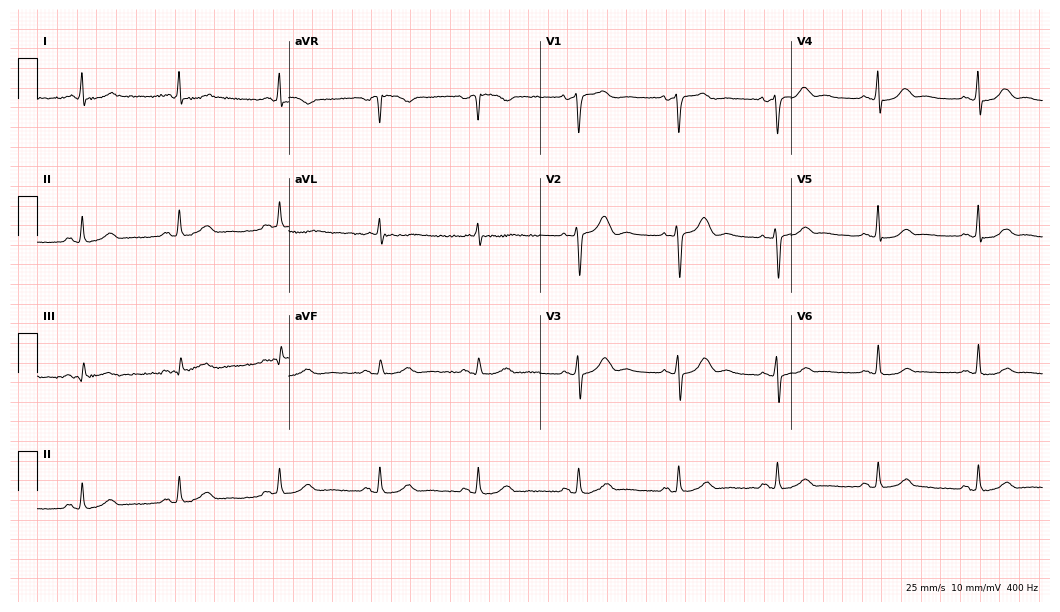
Resting 12-lead electrocardiogram. Patient: a female, 47 years old. Read as a normal ECG.